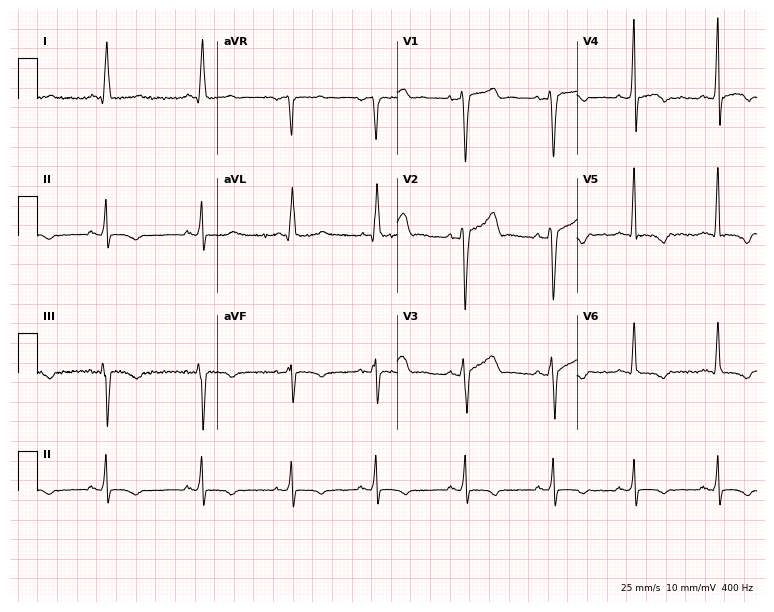
12-lead ECG from a man, 42 years old (7.3-second recording at 400 Hz). No first-degree AV block, right bundle branch block, left bundle branch block, sinus bradycardia, atrial fibrillation or sinus tachycardia recorded for this tracing. Only these six findings were labelled.